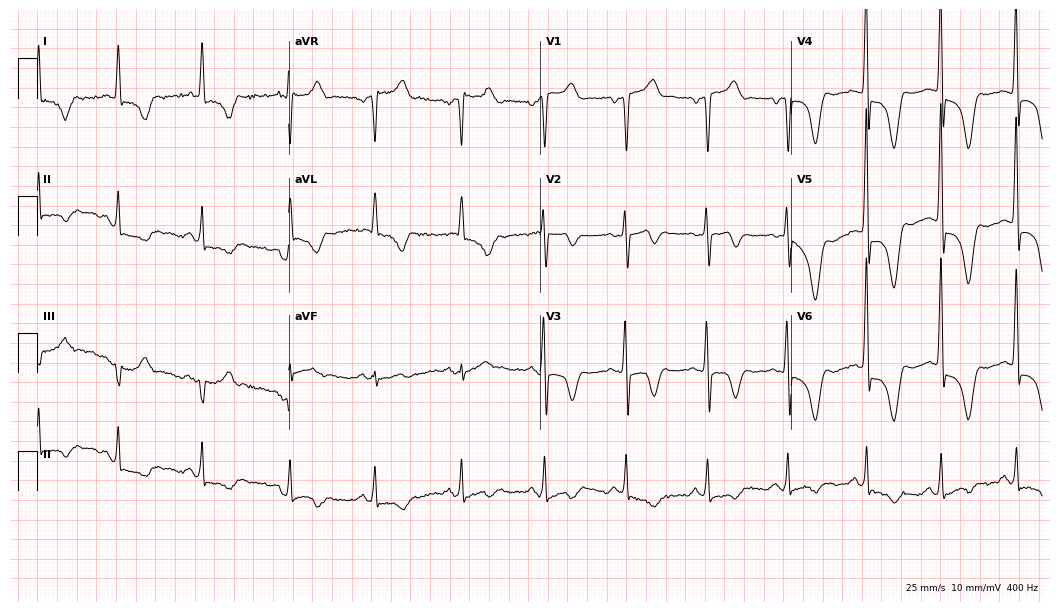
Standard 12-lead ECG recorded from a 55-year-old man. None of these six findings is recorded: first-degree AV block, right bundle branch block, left bundle branch block, sinus bradycardia, atrial fibrillation, sinus tachycardia. Other findings, if any, are not listed.